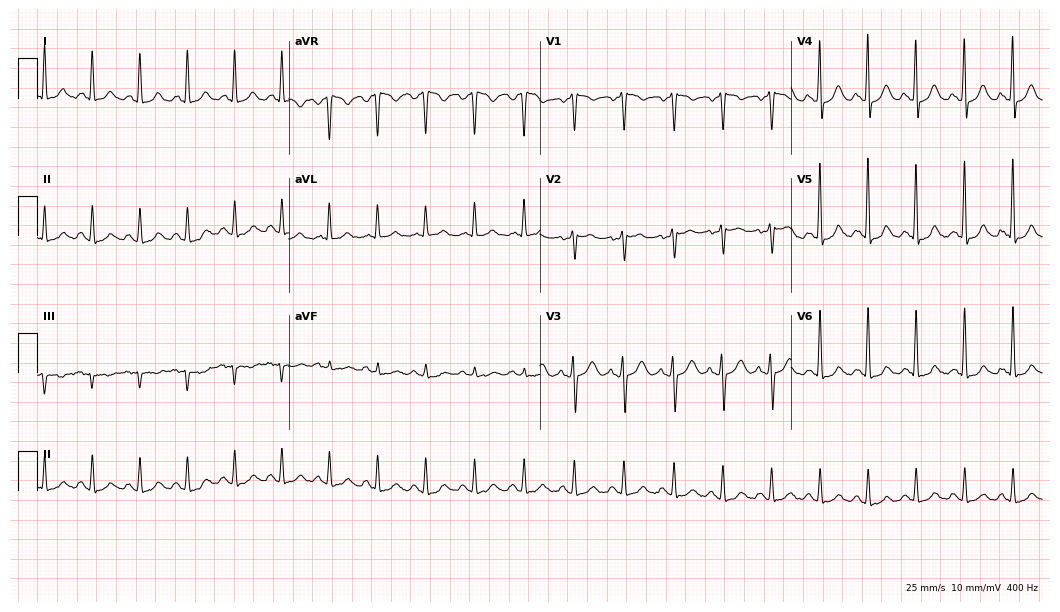
Electrocardiogram (10.2-second recording at 400 Hz), a female patient, 48 years old. Interpretation includes sinus tachycardia (a sinus rate of 100 beats per minute or more).